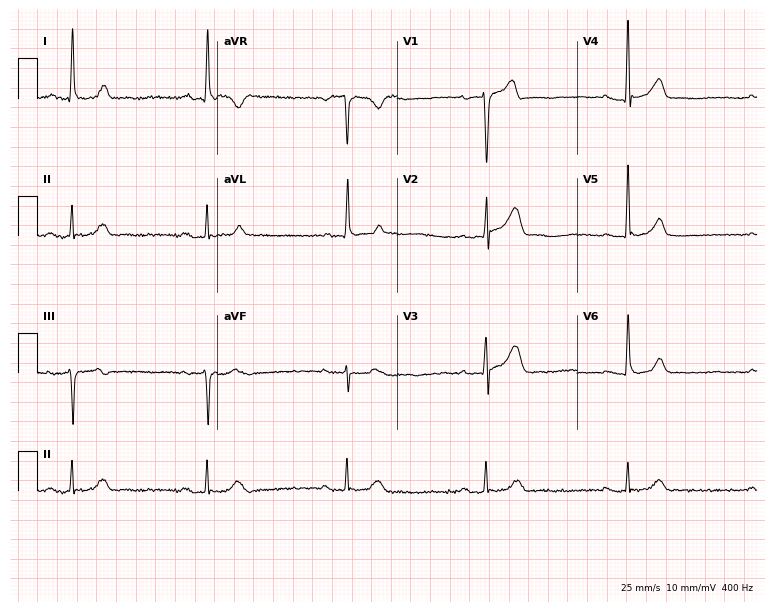
12-lead ECG from a 76-year-old male. Shows first-degree AV block, sinus bradycardia (a sinus rate of 50 beats per minute or less).